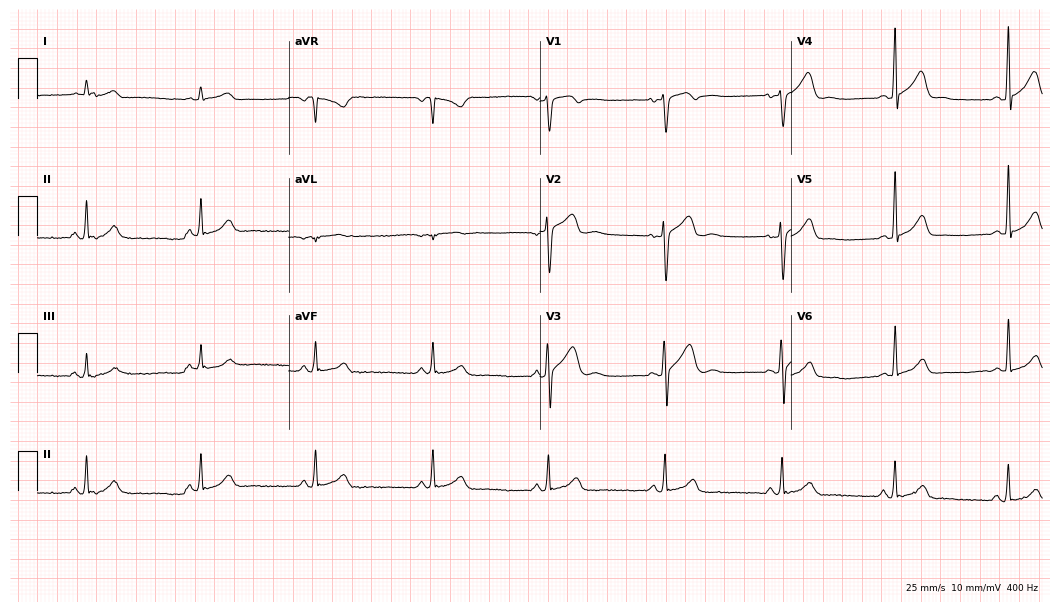
Standard 12-lead ECG recorded from a man, 55 years old (10.2-second recording at 400 Hz). None of these six findings is recorded: first-degree AV block, right bundle branch block, left bundle branch block, sinus bradycardia, atrial fibrillation, sinus tachycardia.